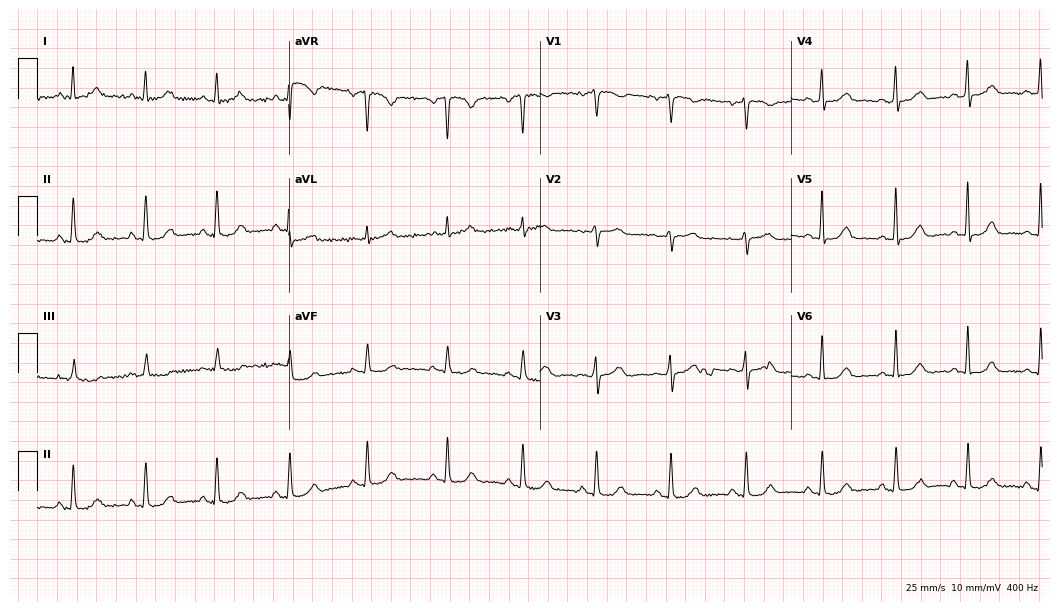
Electrocardiogram, a 45-year-old female. Overall reading on record: normal ECG.